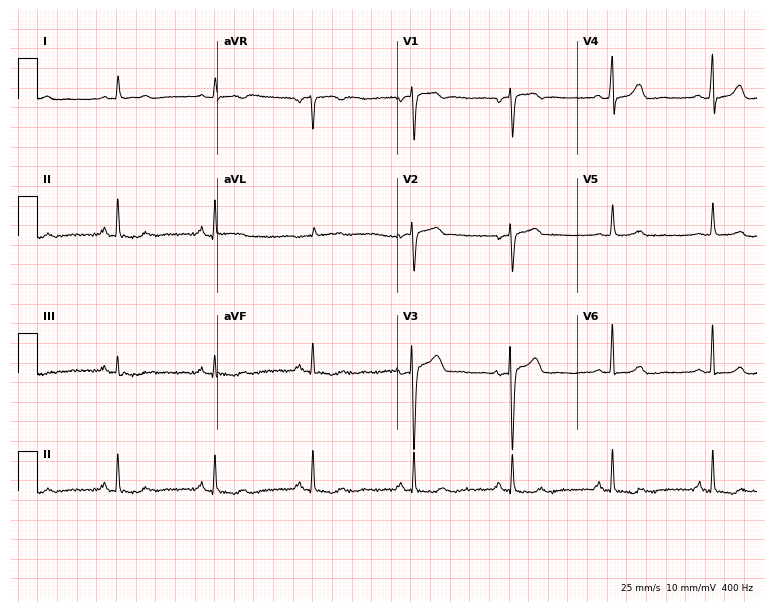
Electrocardiogram, a female, 63 years old. Of the six screened findings (first-degree AV block, right bundle branch block, left bundle branch block, sinus bradycardia, atrial fibrillation, sinus tachycardia), none is recorded.